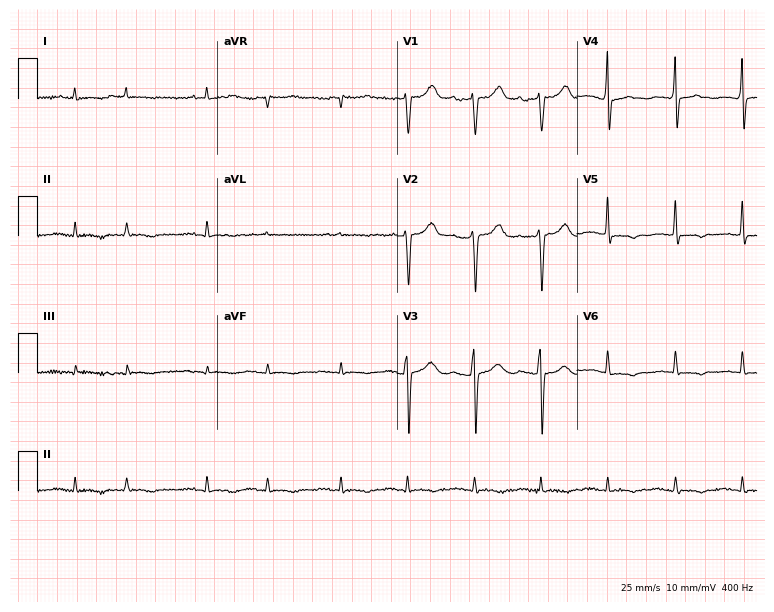
12-lead ECG (7.3-second recording at 400 Hz) from a male, 79 years old. Screened for six findings — first-degree AV block, right bundle branch block, left bundle branch block, sinus bradycardia, atrial fibrillation, sinus tachycardia — none is recorded.